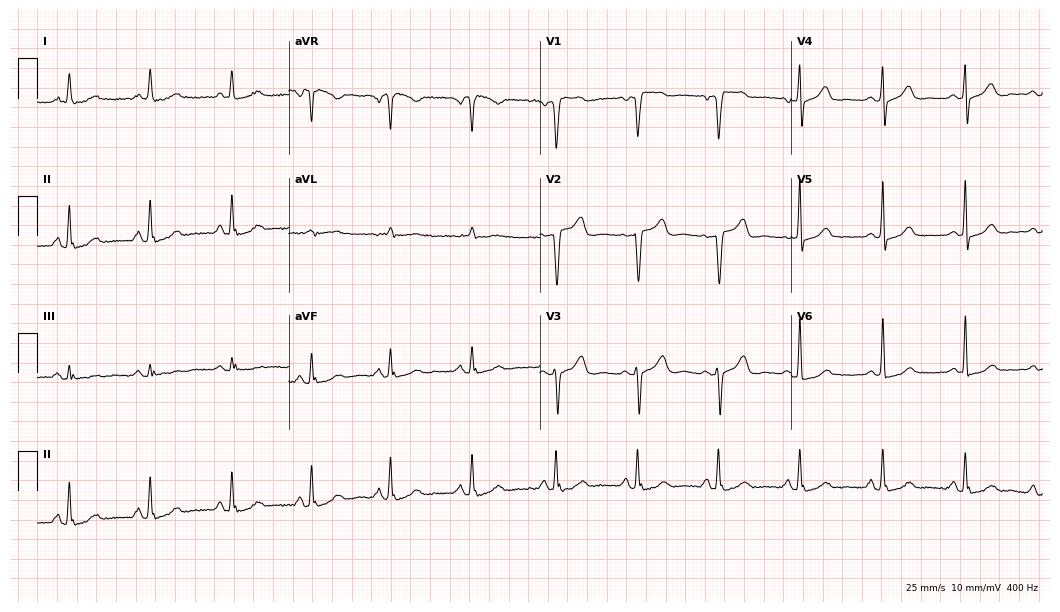
ECG (10.2-second recording at 400 Hz) — a 60-year-old female patient. Screened for six findings — first-degree AV block, right bundle branch block, left bundle branch block, sinus bradycardia, atrial fibrillation, sinus tachycardia — none is recorded.